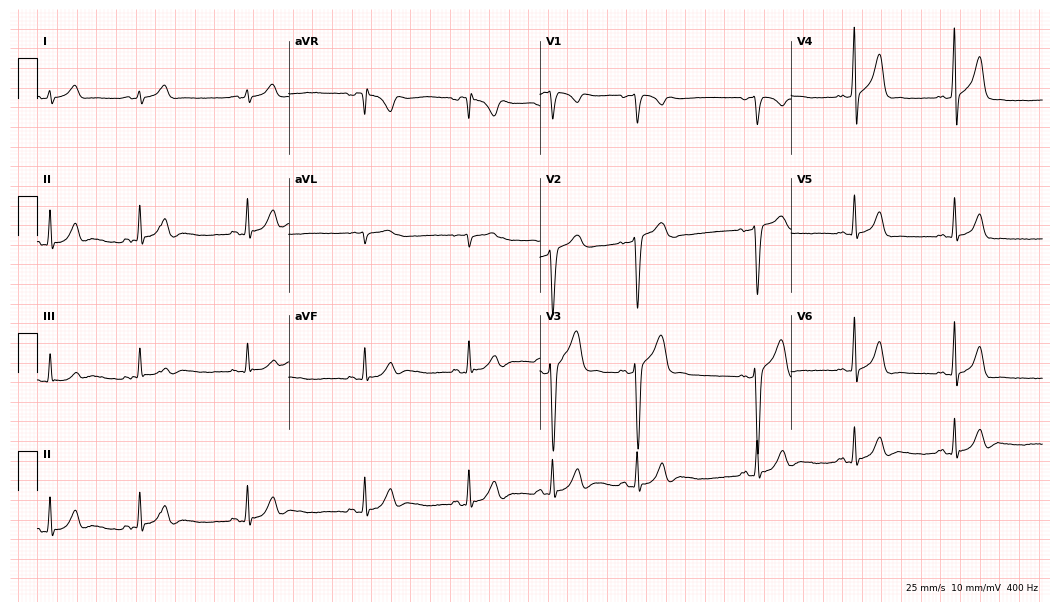
ECG (10.2-second recording at 400 Hz) — a male patient, 25 years old. Labelled as a normal ECG.